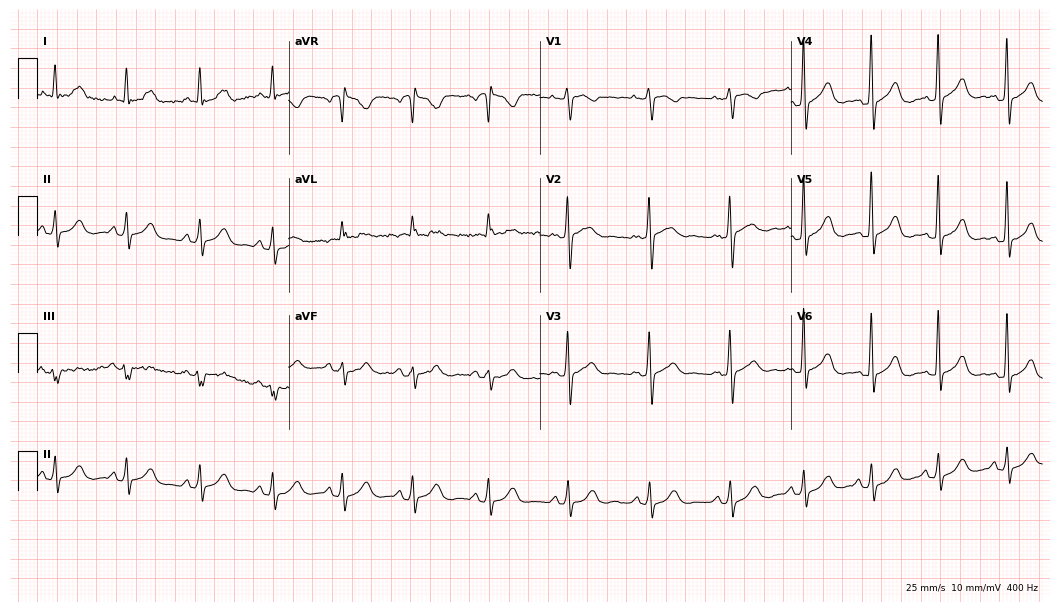
Resting 12-lead electrocardiogram. Patient: a 64-year-old female. None of these six findings is recorded: first-degree AV block, right bundle branch block, left bundle branch block, sinus bradycardia, atrial fibrillation, sinus tachycardia.